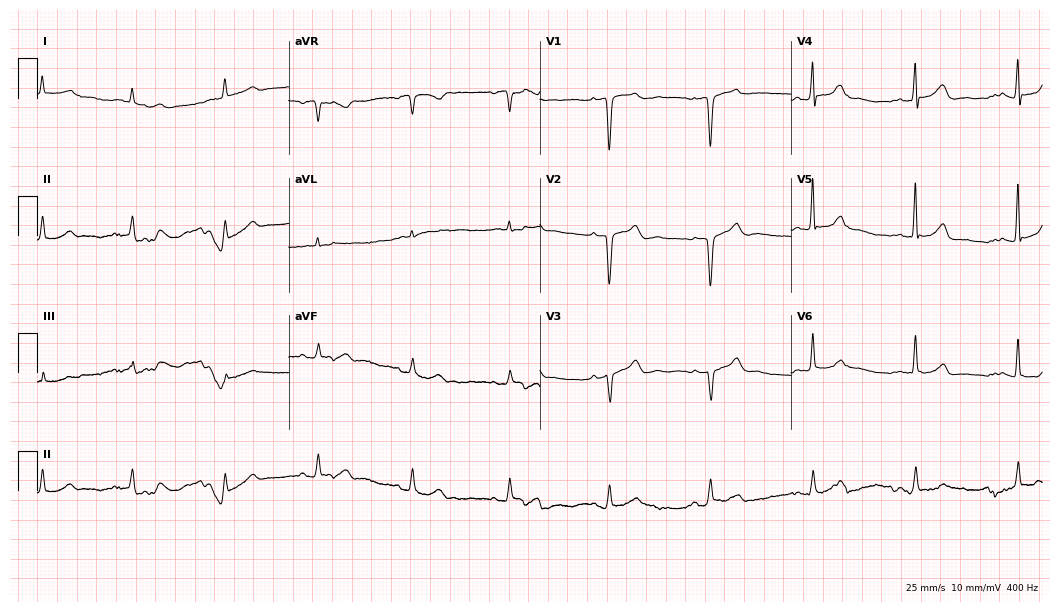
Standard 12-lead ECG recorded from a man, 59 years old. None of these six findings is recorded: first-degree AV block, right bundle branch block (RBBB), left bundle branch block (LBBB), sinus bradycardia, atrial fibrillation (AF), sinus tachycardia.